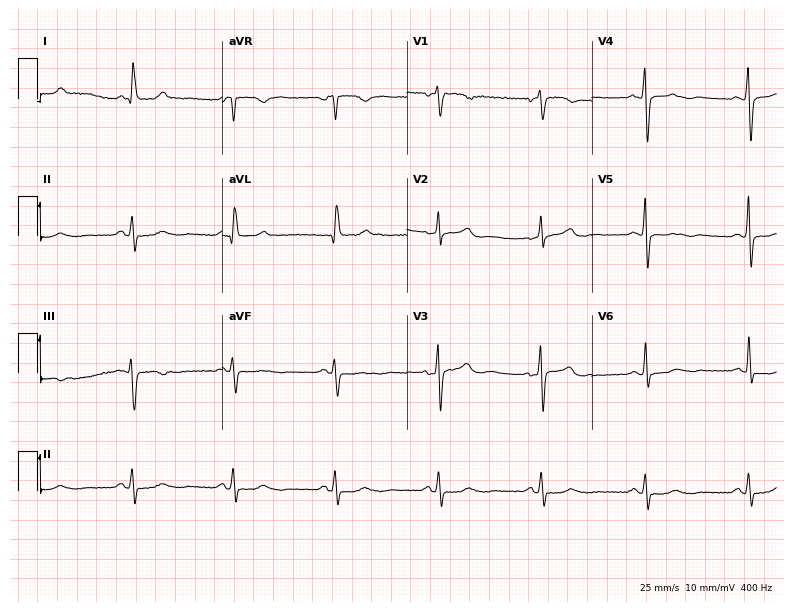
Electrocardiogram, a 74-year-old woman. Overall reading on record: normal ECG.